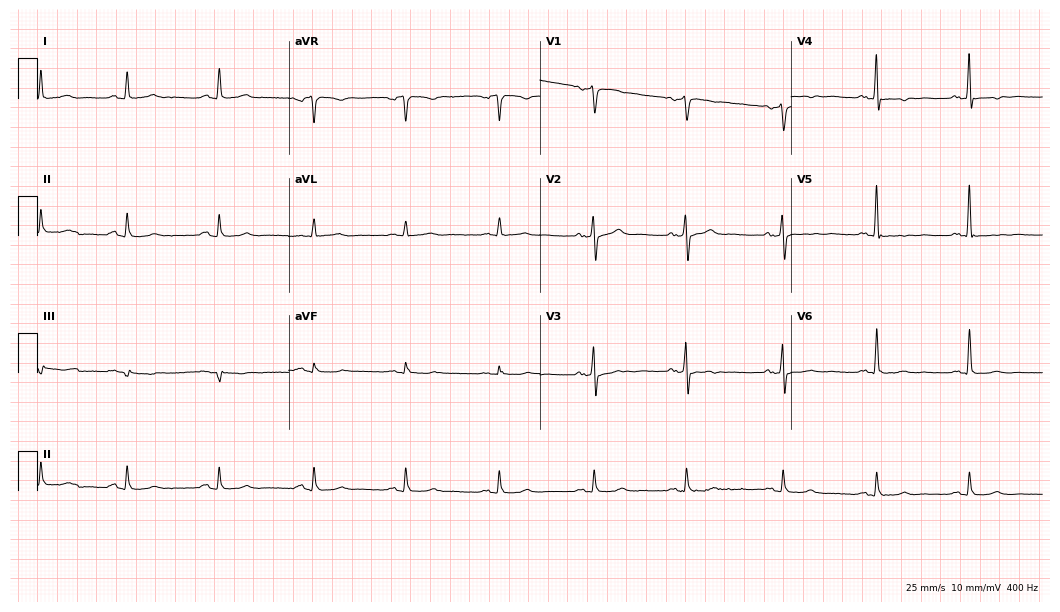
ECG (10.2-second recording at 400 Hz) — a female, 57 years old. Screened for six findings — first-degree AV block, right bundle branch block, left bundle branch block, sinus bradycardia, atrial fibrillation, sinus tachycardia — none is recorded. Other findings, if any, are not listed.